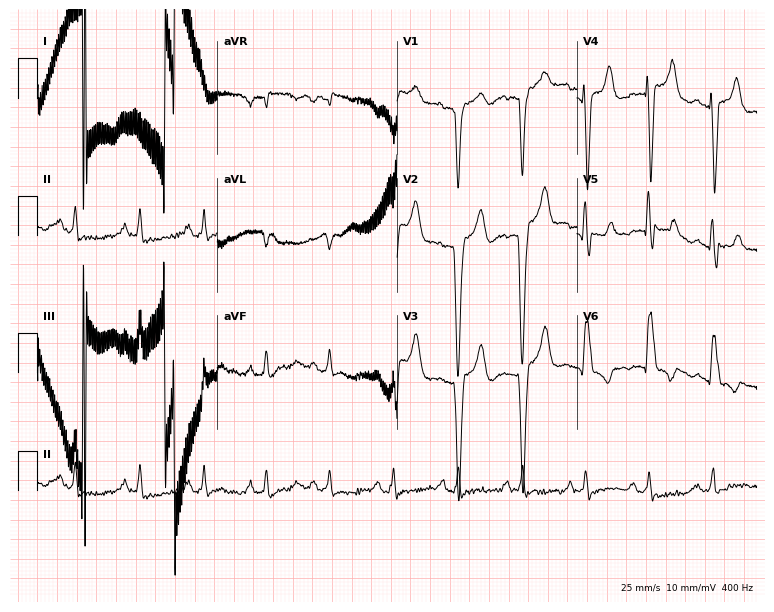
ECG (7.3-second recording at 400 Hz) — an 82-year-old male. Findings include left bundle branch block.